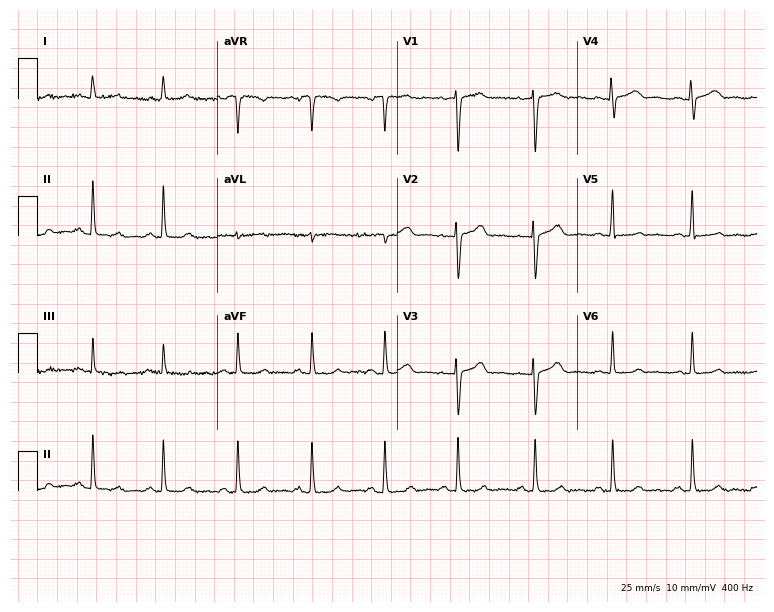
Resting 12-lead electrocardiogram. Patient: a female, 29 years old. None of these six findings is recorded: first-degree AV block, right bundle branch block (RBBB), left bundle branch block (LBBB), sinus bradycardia, atrial fibrillation (AF), sinus tachycardia.